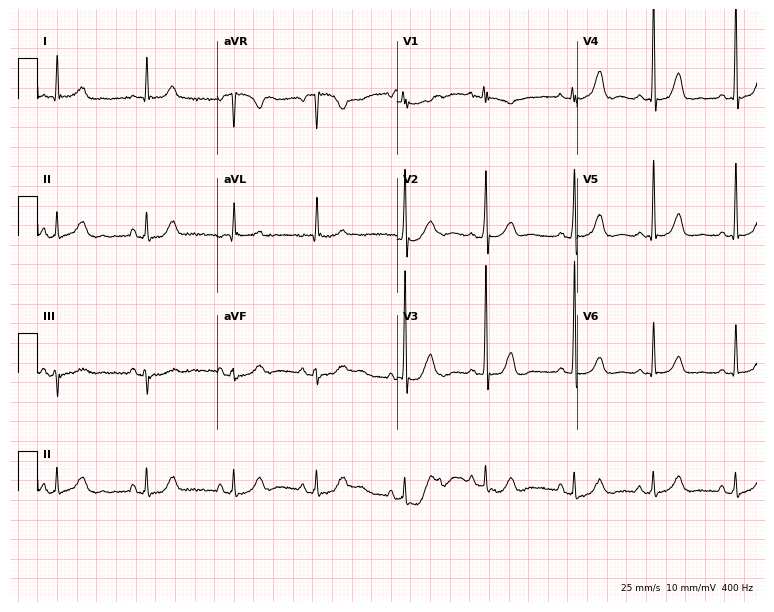
ECG (7.3-second recording at 400 Hz) — a female patient, 83 years old. Screened for six findings — first-degree AV block, right bundle branch block (RBBB), left bundle branch block (LBBB), sinus bradycardia, atrial fibrillation (AF), sinus tachycardia — none is recorded. Findings outside these six are not listed.